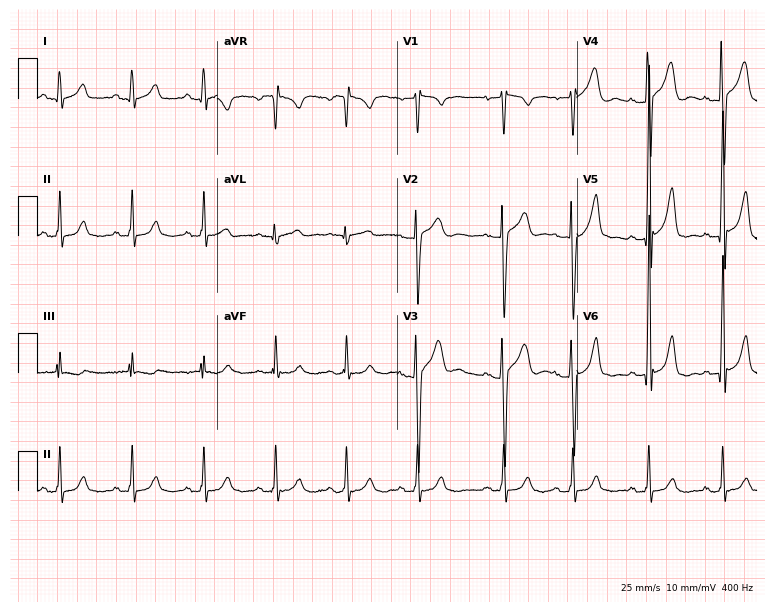
Electrocardiogram (7.3-second recording at 400 Hz), a male, 33 years old. Of the six screened findings (first-degree AV block, right bundle branch block (RBBB), left bundle branch block (LBBB), sinus bradycardia, atrial fibrillation (AF), sinus tachycardia), none is recorded.